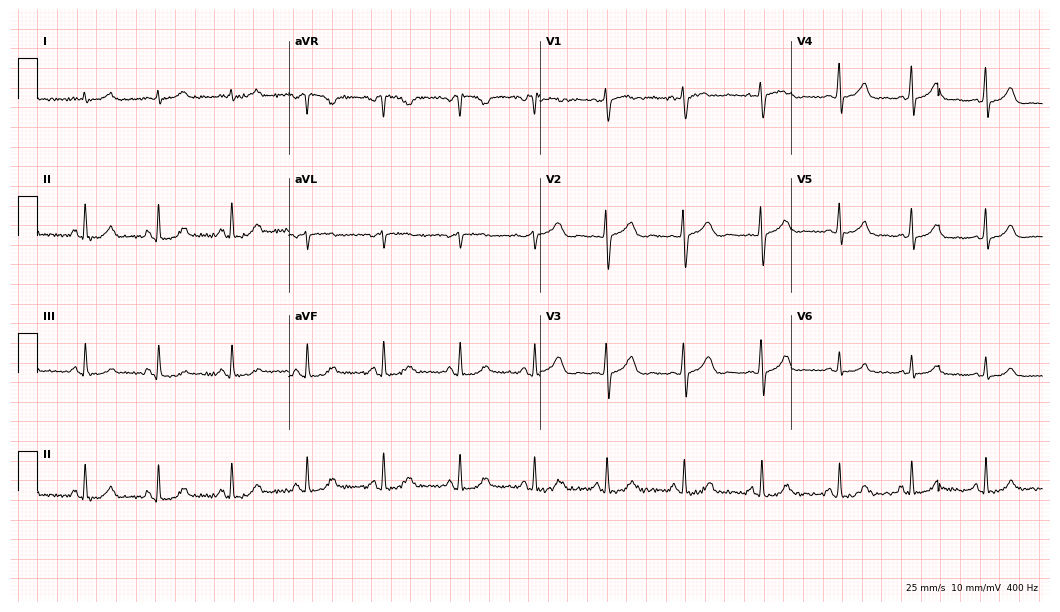
Electrocardiogram (10.2-second recording at 400 Hz), a woman, 24 years old. Of the six screened findings (first-degree AV block, right bundle branch block, left bundle branch block, sinus bradycardia, atrial fibrillation, sinus tachycardia), none is recorded. Other findings, if any, are not listed.